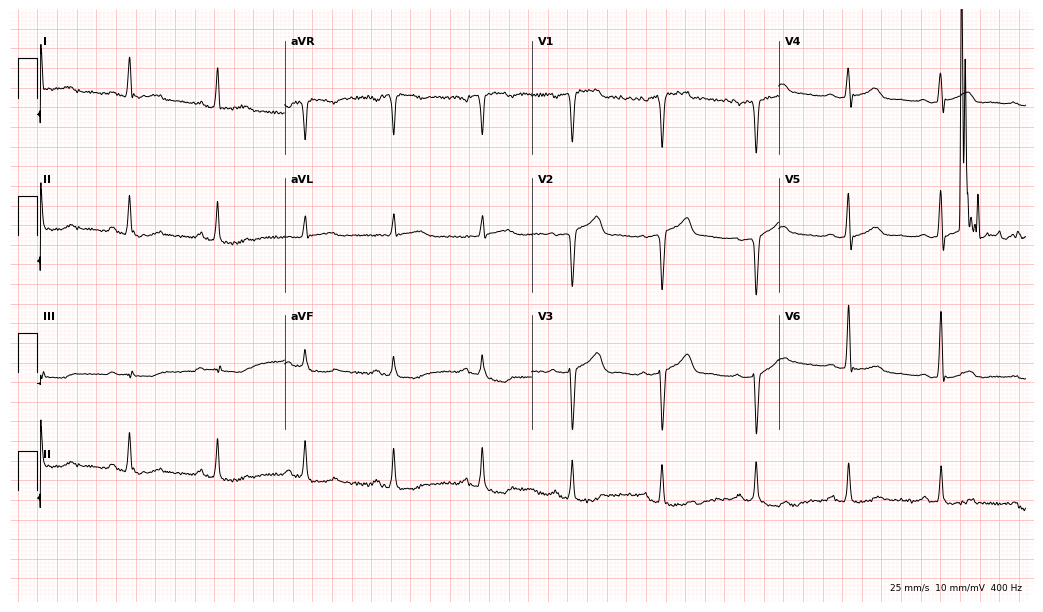
ECG (10.1-second recording at 400 Hz) — a 60-year-old man. Screened for six findings — first-degree AV block, right bundle branch block, left bundle branch block, sinus bradycardia, atrial fibrillation, sinus tachycardia — none is recorded. Only these six findings were labelled.